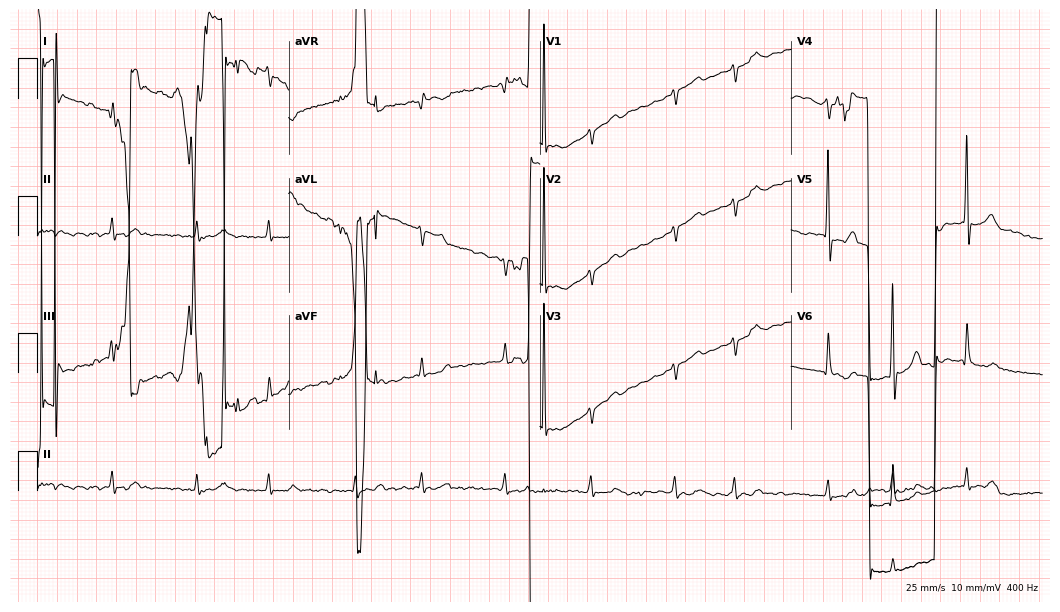
Resting 12-lead electrocardiogram. Patient: a male, 82 years old. None of these six findings is recorded: first-degree AV block, right bundle branch block, left bundle branch block, sinus bradycardia, atrial fibrillation, sinus tachycardia.